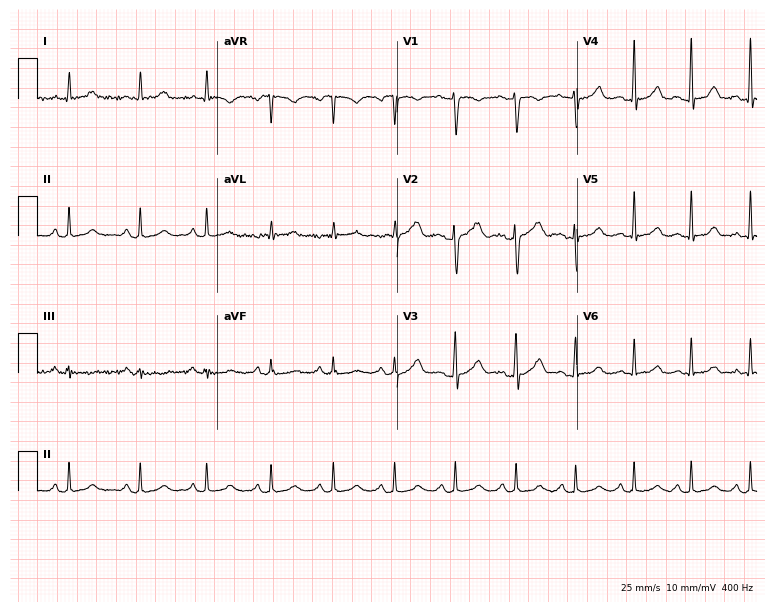
12-lead ECG from a woman, 32 years old. Recorded interpretation: within normal limits.